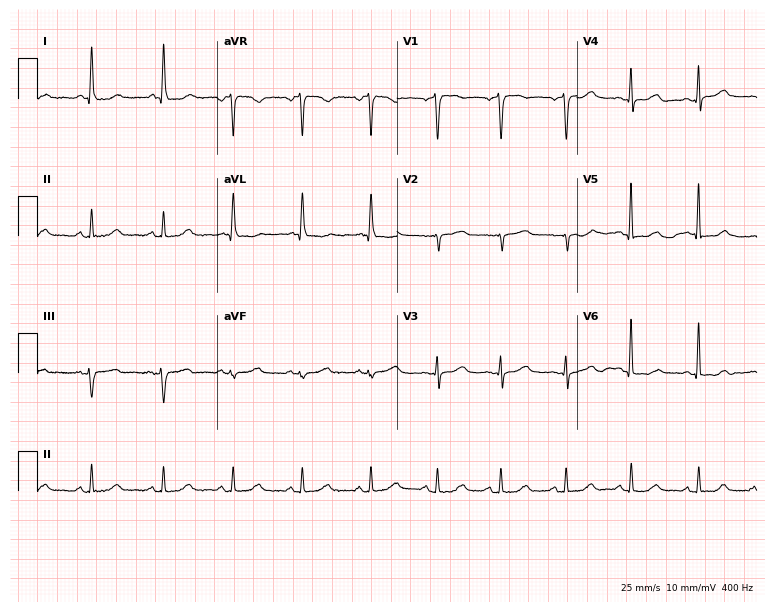
Resting 12-lead electrocardiogram (7.3-second recording at 400 Hz). Patient: a 56-year-old woman. None of these six findings is recorded: first-degree AV block, right bundle branch block, left bundle branch block, sinus bradycardia, atrial fibrillation, sinus tachycardia.